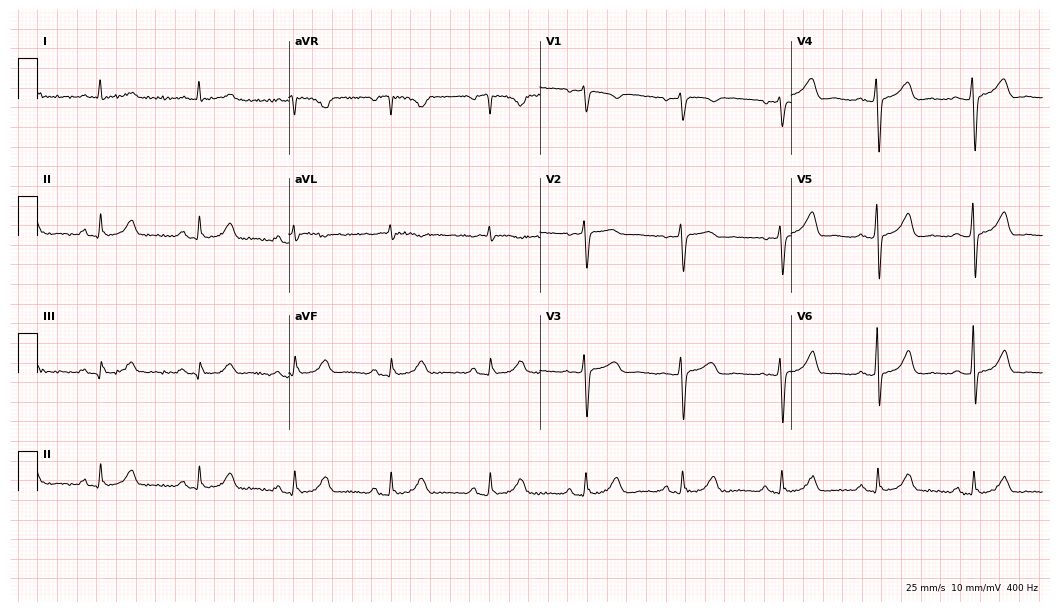
Resting 12-lead electrocardiogram. Patient: a female, 58 years old. None of these six findings is recorded: first-degree AV block, right bundle branch block (RBBB), left bundle branch block (LBBB), sinus bradycardia, atrial fibrillation (AF), sinus tachycardia.